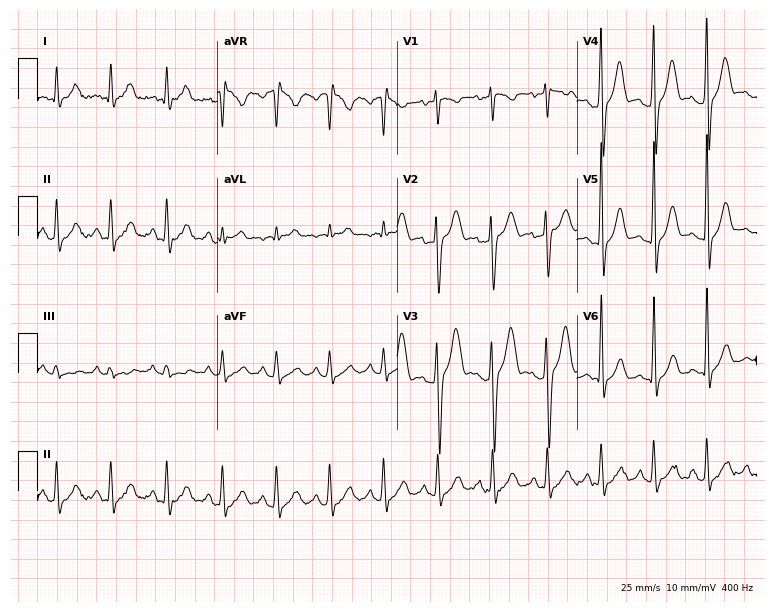
ECG — a man, 19 years old. Screened for six findings — first-degree AV block, right bundle branch block (RBBB), left bundle branch block (LBBB), sinus bradycardia, atrial fibrillation (AF), sinus tachycardia — none is recorded. Other findings, if any, are not listed.